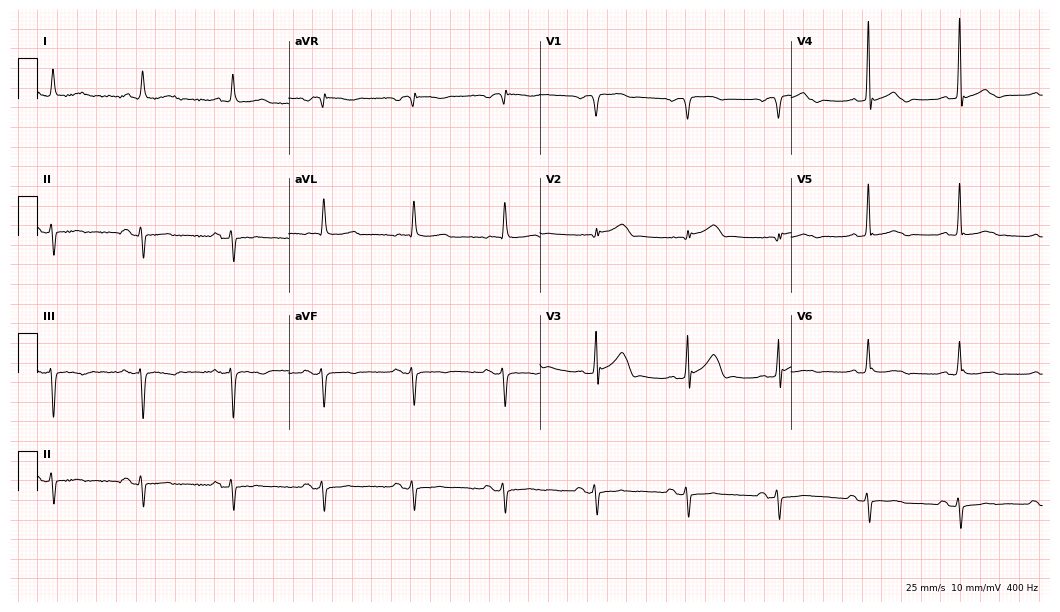
Resting 12-lead electrocardiogram (10.2-second recording at 400 Hz). Patient: a male, 83 years old. None of these six findings is recorded: first-degree AV block, right bundle branch block, left bundle branch block, sinus bradycardia, atrial fibrillation, sinus tachycardia.